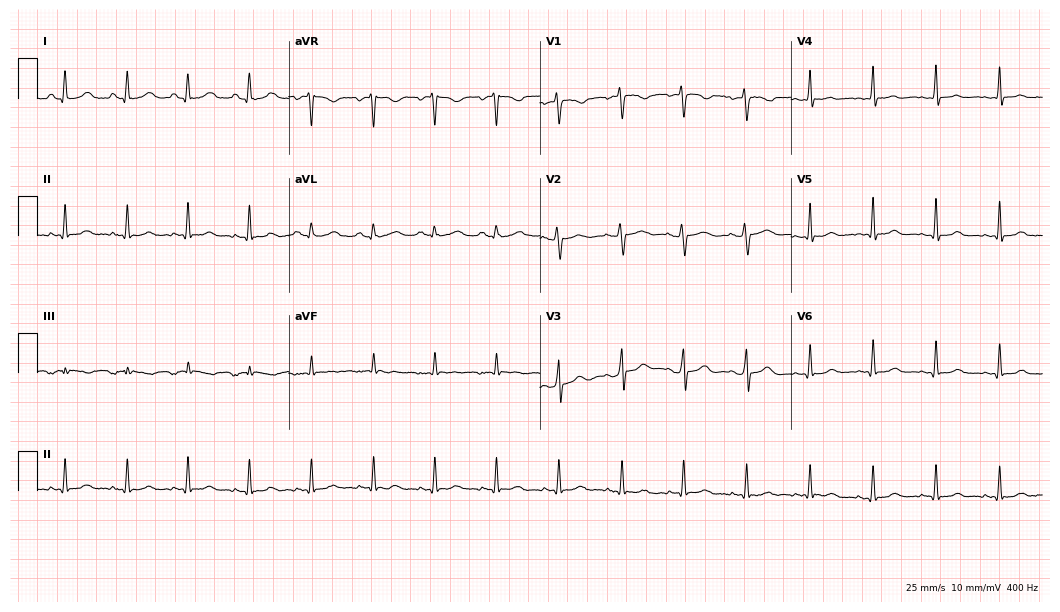
Standard 12-lead ECG recorded from a 19-year-old woman (10.2-second recording at 400 Hz). Read as a normal ECG.